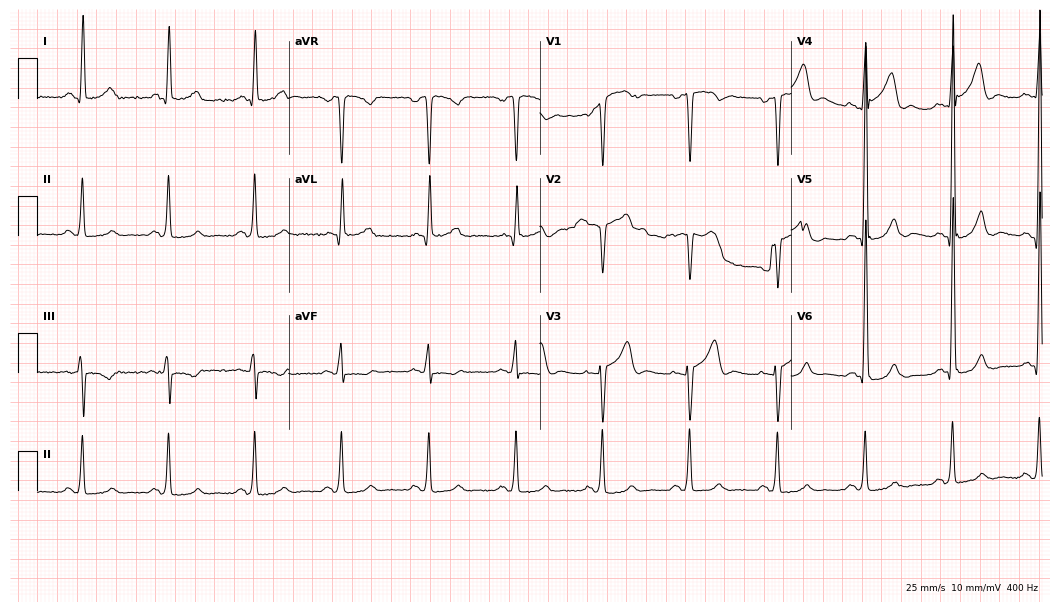
12-lead ECG (10.2-second recording at 400 Hz) from a male, 63 years old. Labelled as a normal ECG.